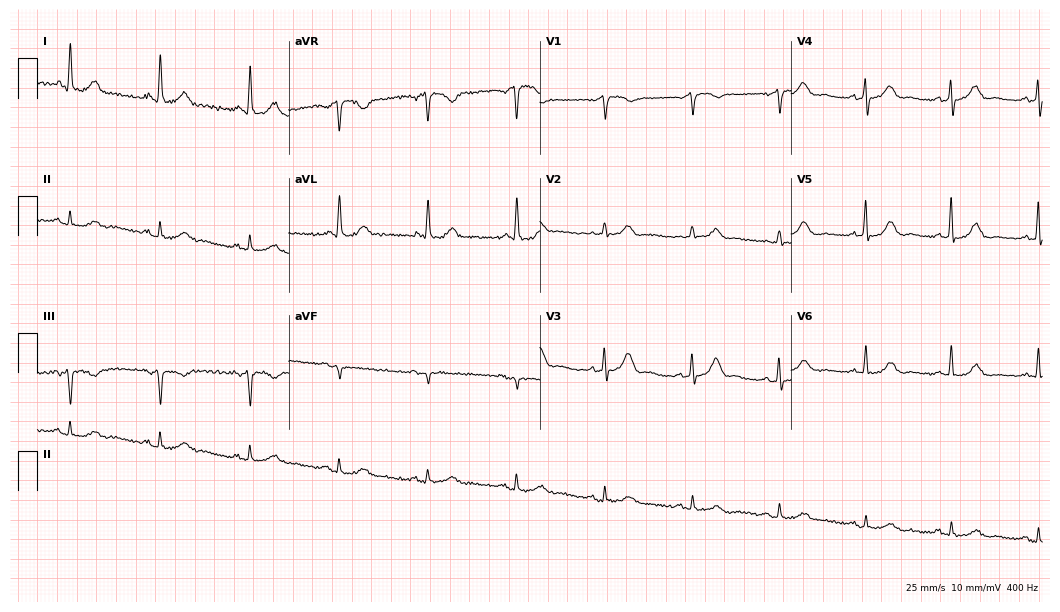
12-lead ECG from a 73-year-old man. No first-degree AV block, right bundle branch block, left bundle branch block, sinus bradycardia, atrial fibrillation or sinus tachycardia recorded for this tracing. Other findings, if any, are not listed.